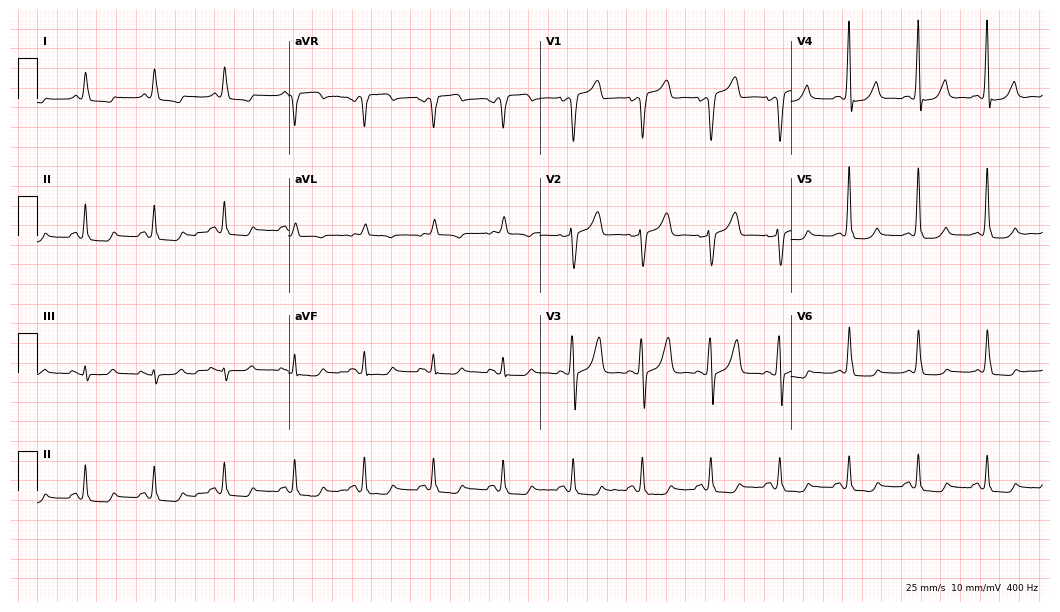
Standard 12-lead ECG recorded from a male patient, 56 years old. None of these six findings is recorded: first-degree AV block, right bundle branch block, left bundle branch block, sinus bradycardia, atrial fibrillation, sinus tachycardia. Findings outside these six are not listed.